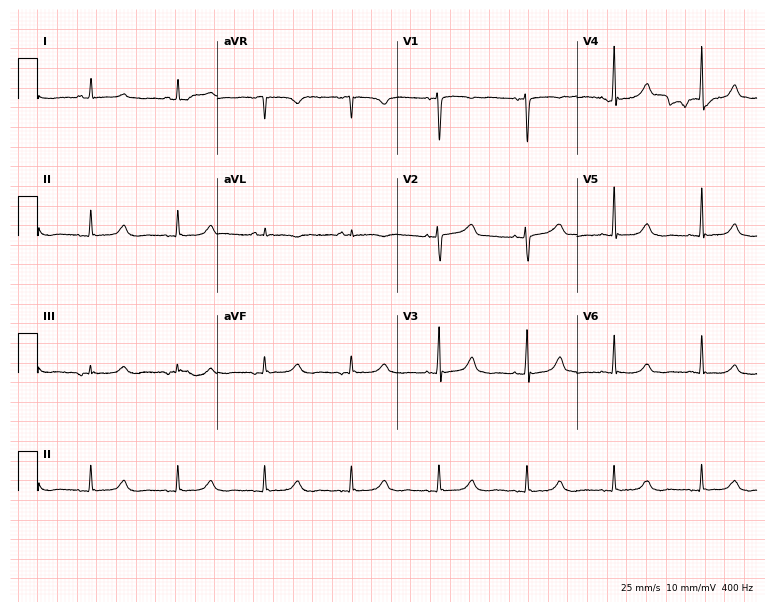
ECG — a female, 63 years old. Screened for six findings — first-degree AV block, right bundle branch block (RBBB), left bundle branch block (LBBB), sinus bradycardia, atrial fibrillation (AF), sinus tachycardia — none is recorded. Findings outside these six are not listed.